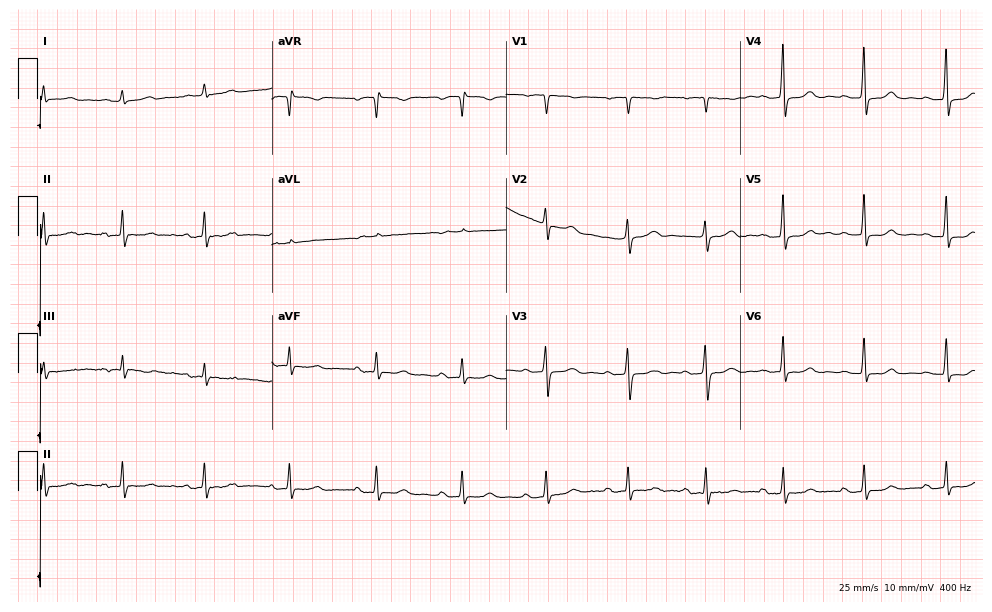
ECG (9.6-second recording at 400 Hz) — a female patient, 83 years old. Screened for six findings — first-degree AV block, right bundle branch block, left bundle branch block, sinus bradycardia, atrial fibrillation, sinus tachycardia — none is recorded.